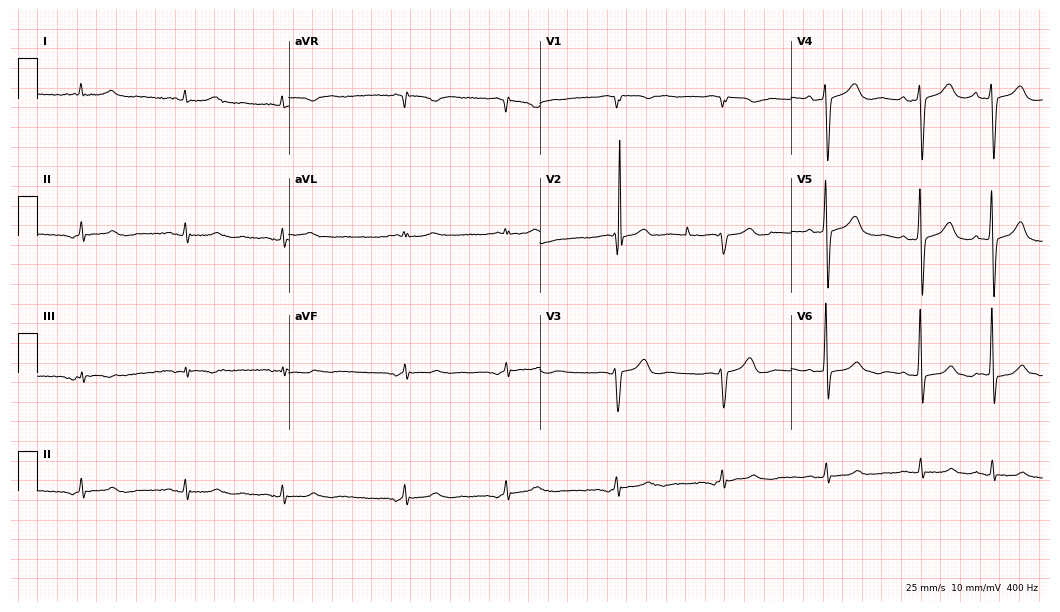
Standard 12-lead ECG recorded from a male, 85 years old (10.2-second recording at 400 Hz). Read as a normal ECG.